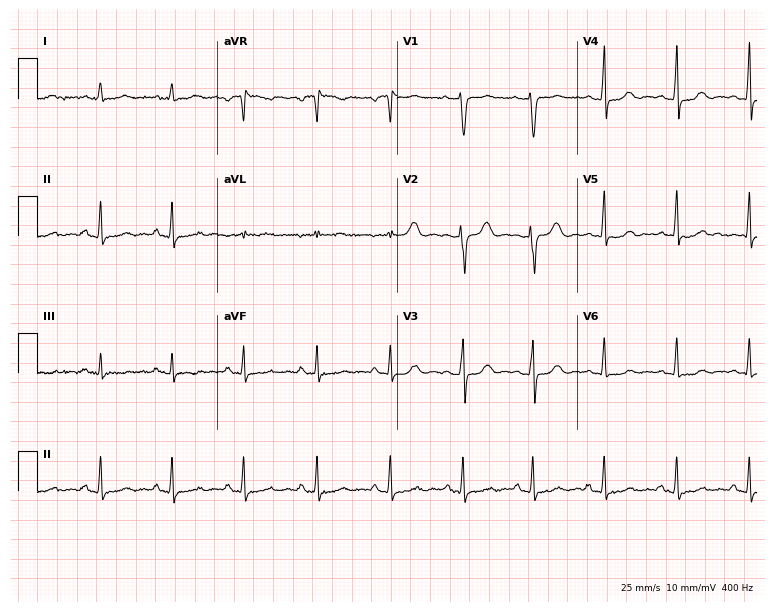
Standard 12-lead ECG recorded from a 27-year-old female patient (7.3-second recording at 400 Hz). Read as a normal ECG.